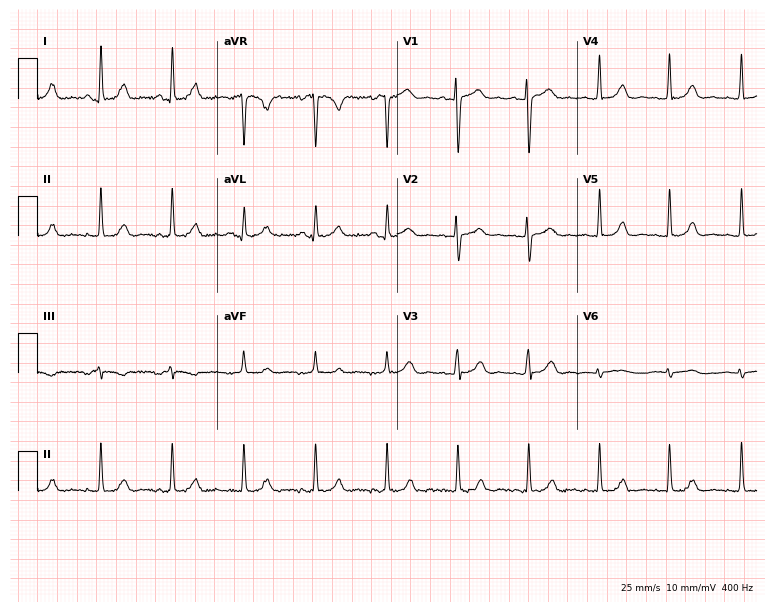
12-lead ECG from a female patient, 17 years old. Labelled as a normal ECG.